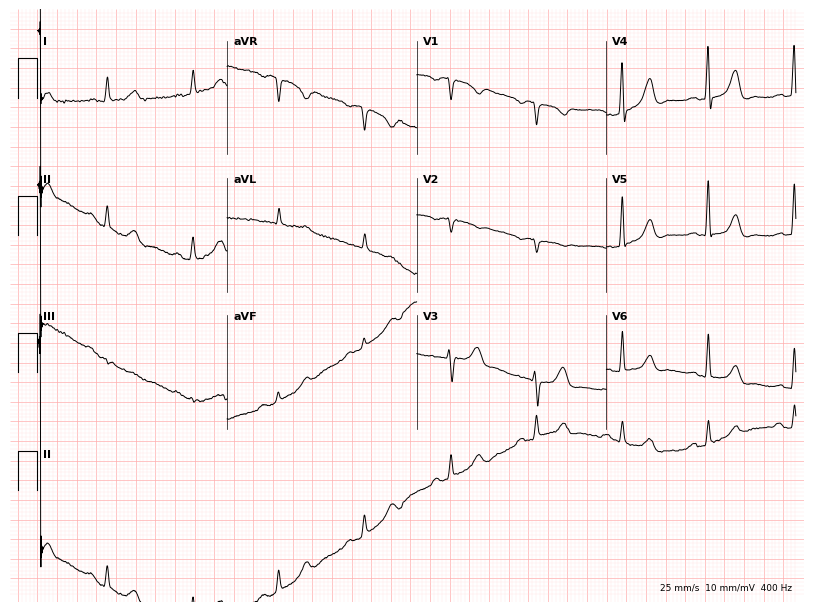
12-lead ECG from a 78-year-old female (7.7-second recording at 400 Hz). No first-degree AV block, right bundle branch block, left bundle branch block, sinus bradycardia, atrial fibrillation or sinus tachycardia recorded for this tracing.